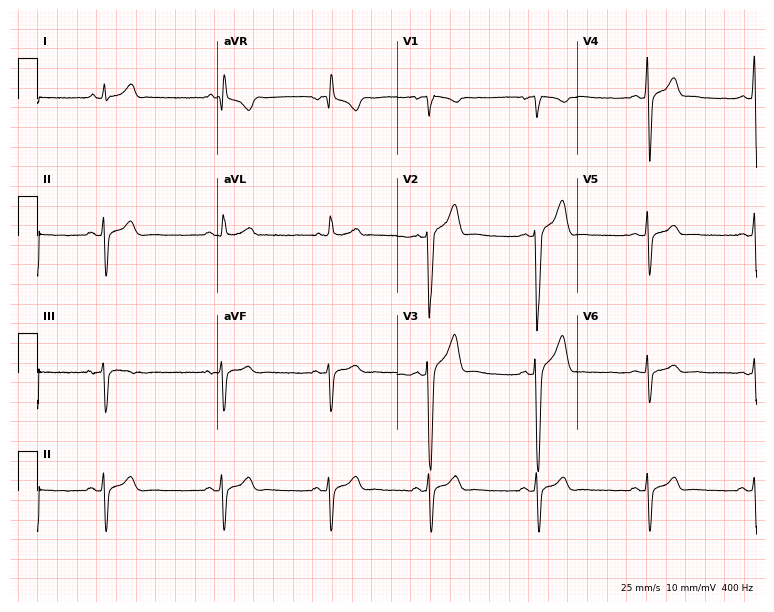
Standard 12-lead ECG recorded from a 26-year-old male. None of these six findings is recorded: first-degree AV block, right bundle branch block, left bundle branch block, sinus bradycardia, atrial fibrillation, sinus tachycardia. Only these six findings were labelled.